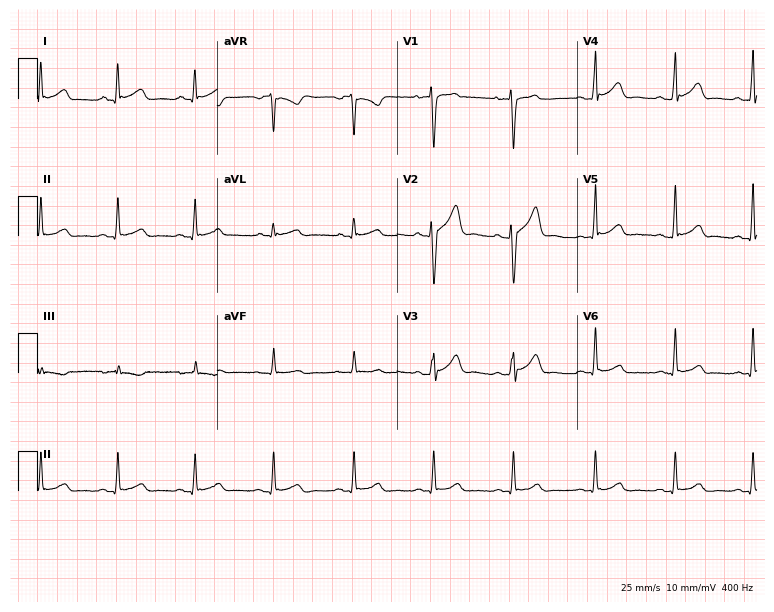
Electrocardiogram, a man, 28 years old. Of the six screened findings (first-degree AV block, right bundle branch block, left bundle branch block, sinus bradycardia, atrial fibrillation, sinus tachycardia), none is recorded.